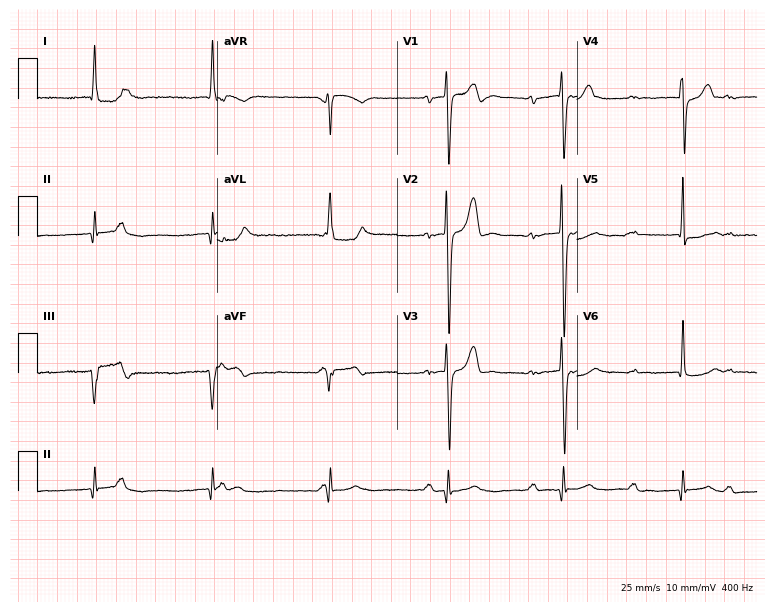
Standard 12-lead ECG recorded from a 58-year-old male (7.3-second recording at 400 Hz). The tracing shows first-degree AV block.